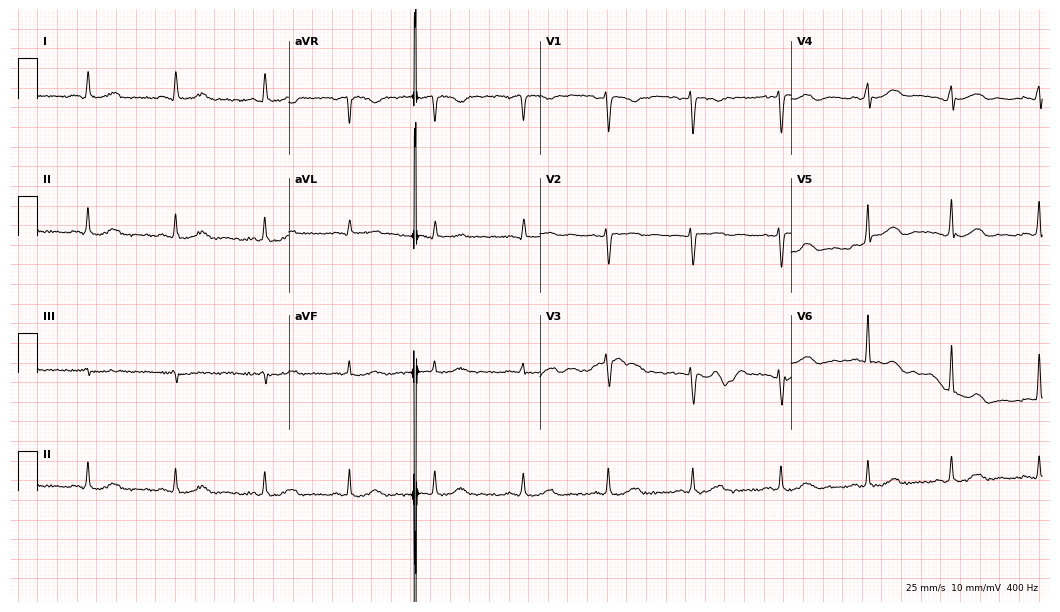
Standard 12-lead ECG recorded from a female patient, 59 years old. Read as a normal ECG.